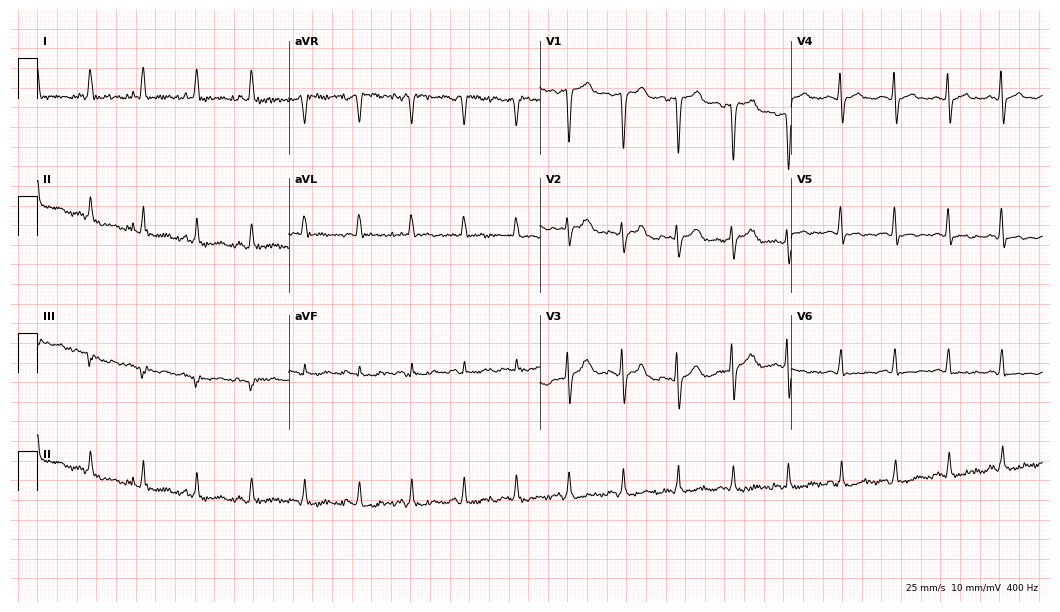
12-lead ECG from a man, 68 years old (10.2-second recording at 400 Hz). No first-degree AV block, right bundle branch block, left bundle branch block, sinus bradycardia, atrial fibrillation or sinus tachycardia recorded for this tracing.